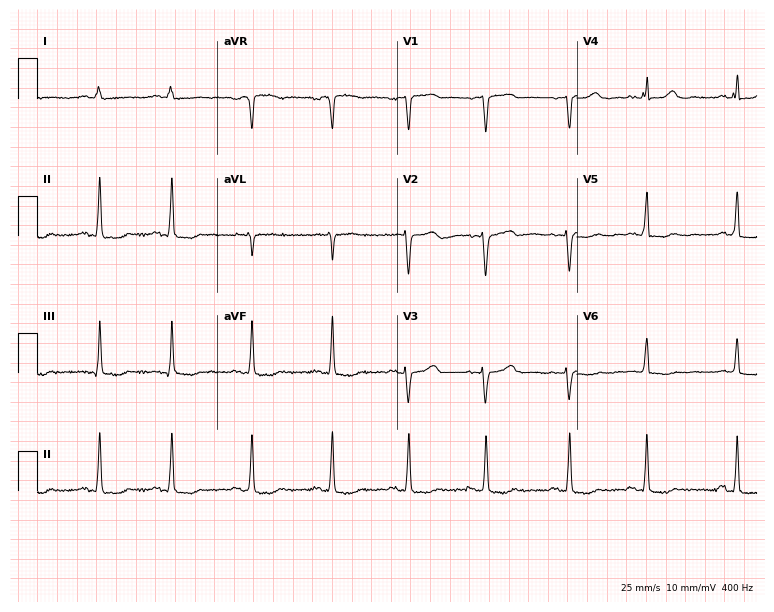
Electrocardiogram, a woman, 85 years old. Of the six screened findings (first-degree AV block, right bundle branch block, left bundle branch block, sinus bradycardia, atrial fibrillation, sinus tachycardia), none is recorded.